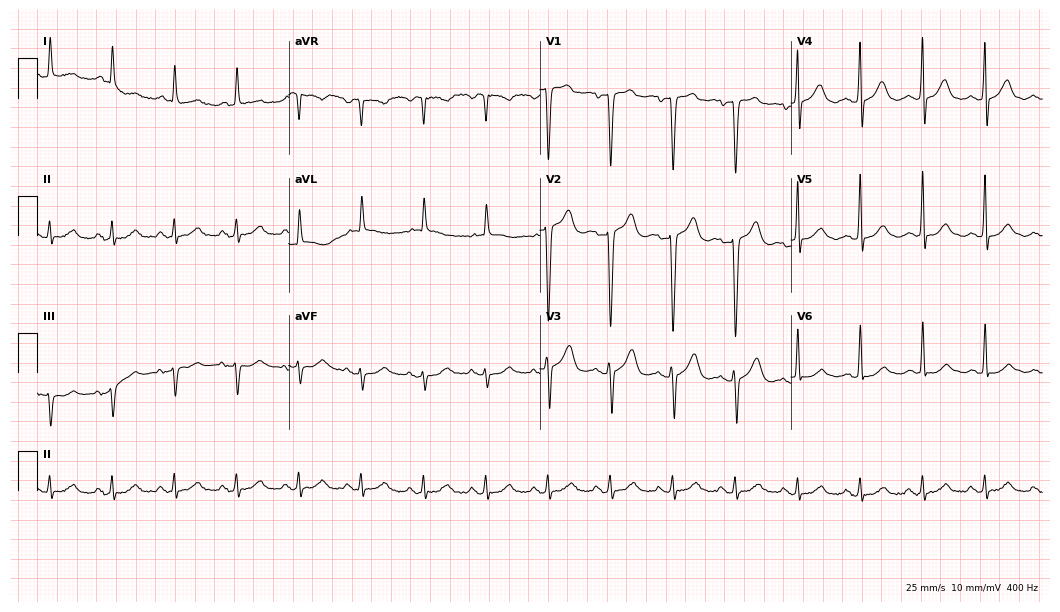
12-lead ECG (10.2-second recording at 400 Hz) from a male patient, 78 years old. Screened for six findings — first-degree AV block, right bundle branch block, left bundle branch block, sinus bradycardia, atrial fibrillation, sinus tachycardia — none is recorded.